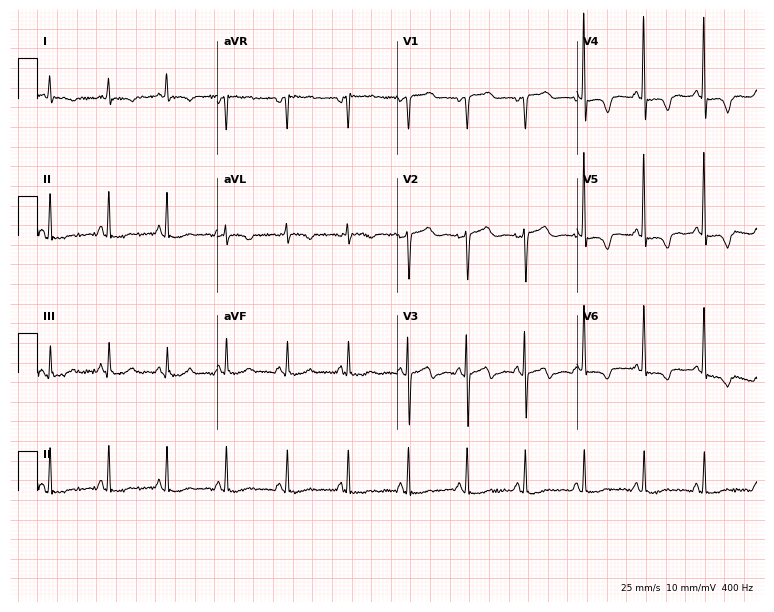
ECG (7.3-second recording at 400 Hz) — a 76-year-old woman. Screened for six findings — first-degree AV block, right bundle branch block (RBBB), left bundle branch block (LBBB), sinus bradycardia, atrial fibrillation (AF), sinus tachycardia — none is recorded. Findings outside these six are not listed.